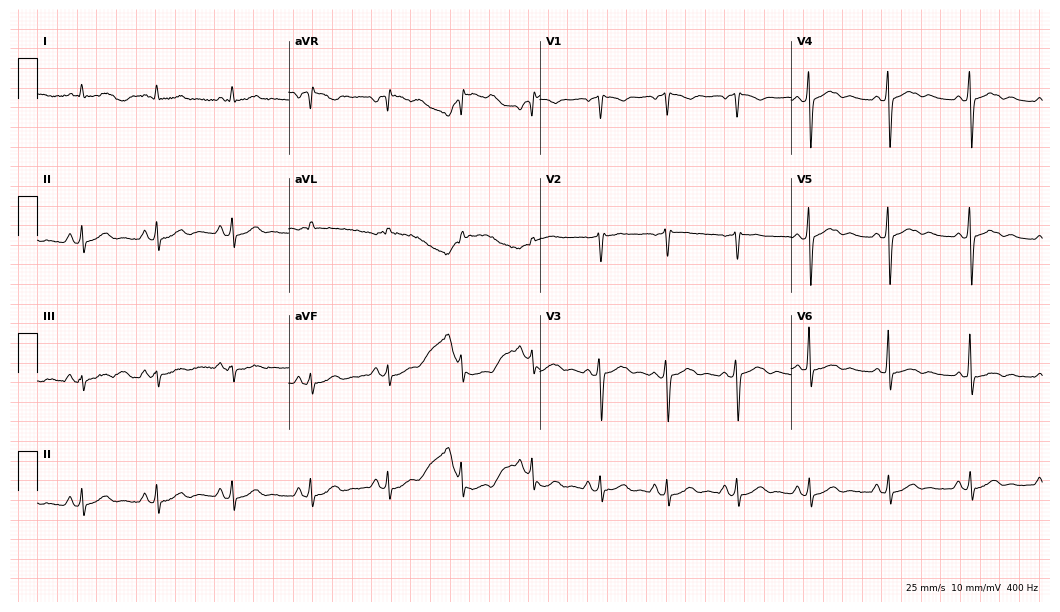
ECG (10.2-second recording at 400 Hz) — a 68-year-old male. Screened for six findings — first-degree AV block, right bundle branch block, left bundle branch block, sinus bradycardia, atrial fibrillation, sinus tachycardia — none is recorded. Other findings, if any, are not listed.